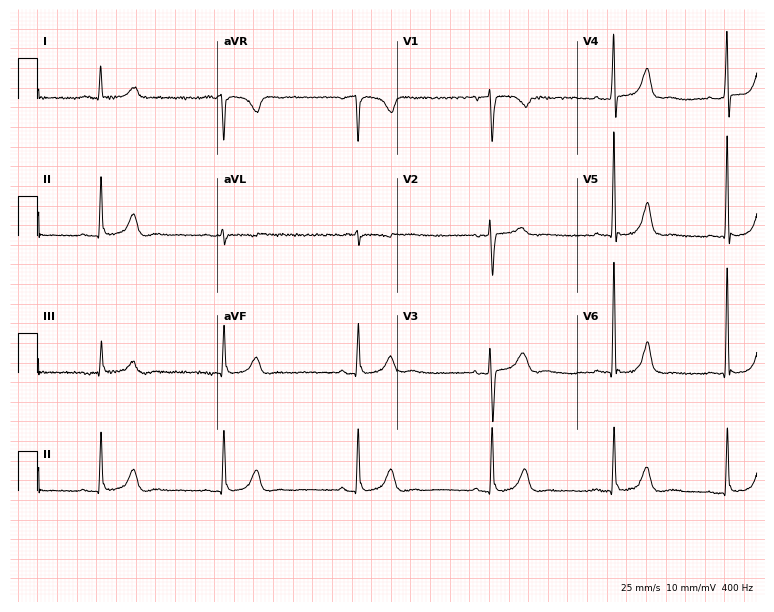
Standard 12-lead ECG recorded from a female patient, 72 years old (7.3-second recording at 400 Hz). Read as a normal ECG.